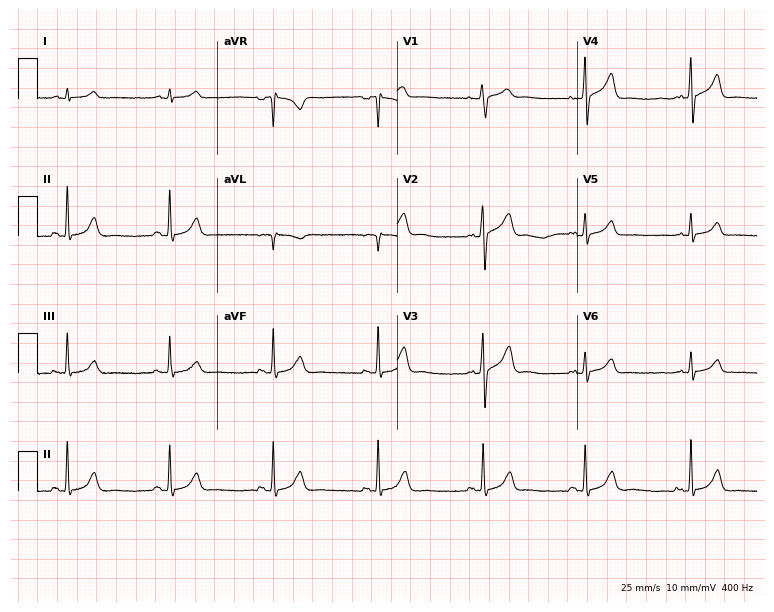
Electrocardiogram, a 48-year-old male patient. Overall reading on record: normal ECG.